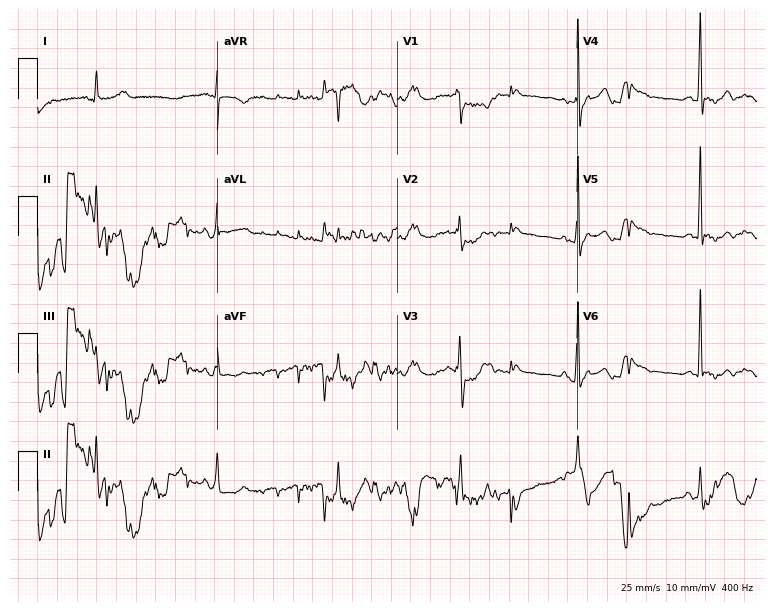
12-lead ECG from a 56-year-old woman. Shows sinus bradycardia (a sinus rate of 50 beats per minute or less).